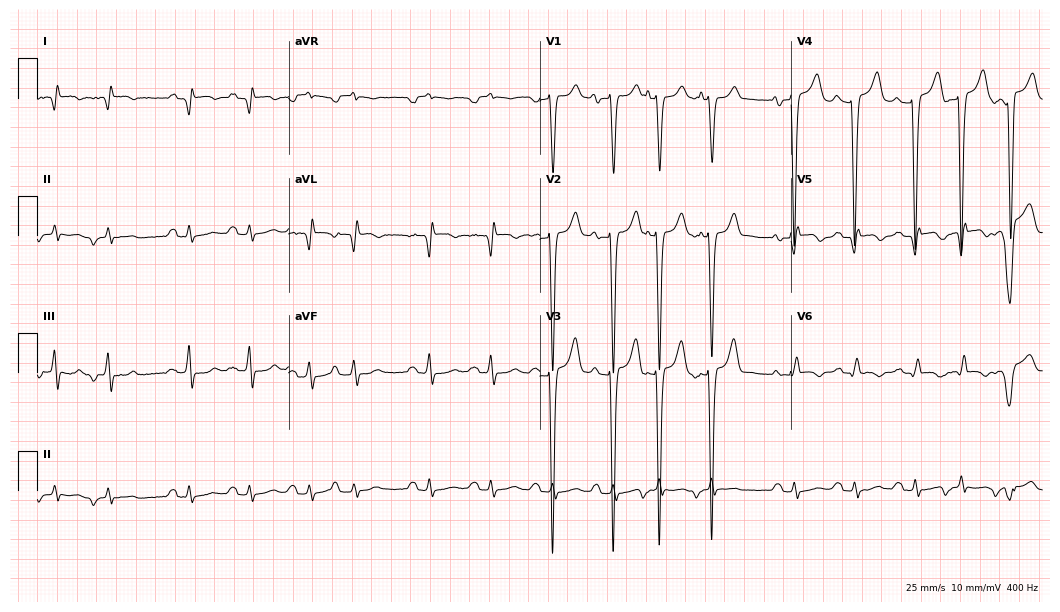
Standard 12-lead ECG recorded from a 52-year-old male patient (10.2-second recording at 400 Hz). None of these six findings is recorded: first-degree AV block, right bundle branch block, left bundle branch block, sinus bradycardia, atrial fibrillation, sinus tachycardia.